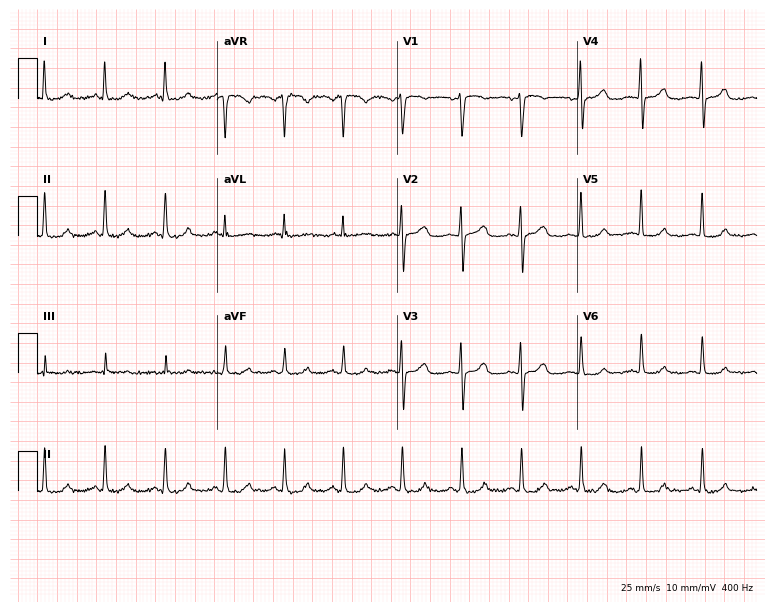
Electrocardiogram, a 42-year-old female patient. Overall reading on record: normal ECG.